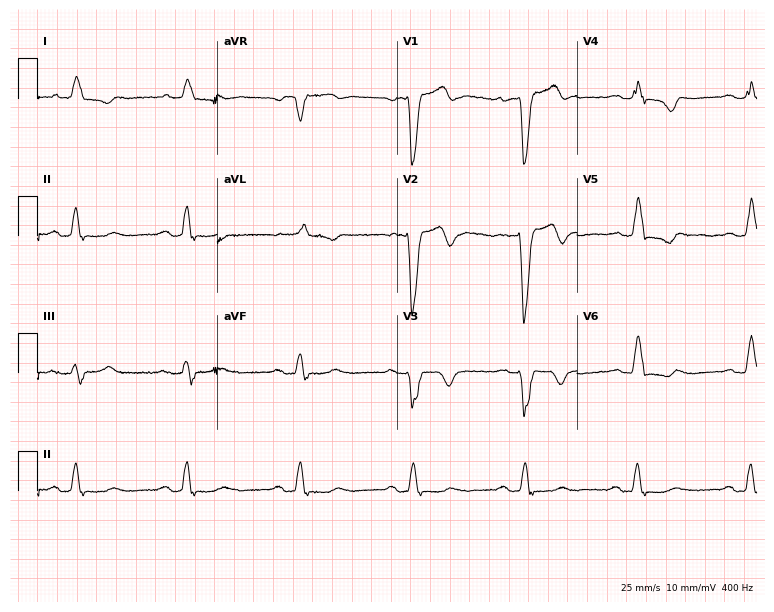
Standard 12-lead ECG recorded from an 84-year-old man. The tracing shows left bundle branch block (LBBB).